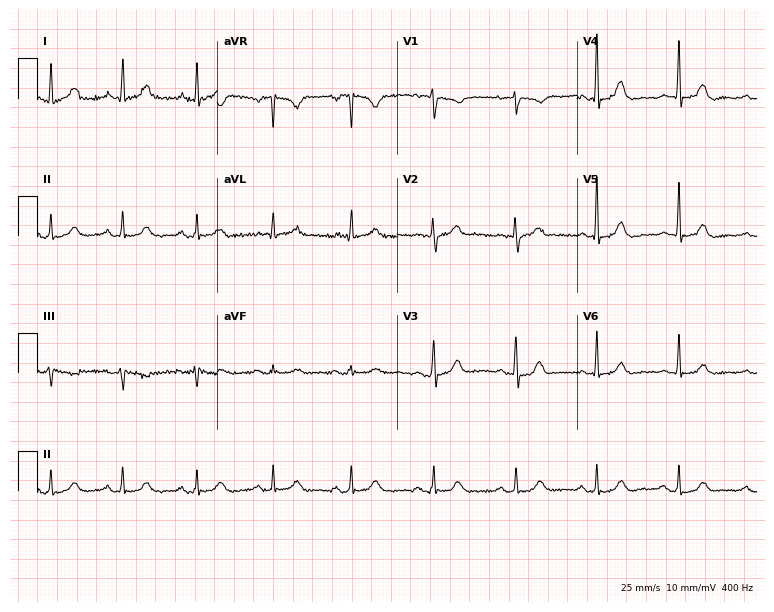
12-lead ECG from a 67-year-old woman. Recorded interpretation: within normal limits.